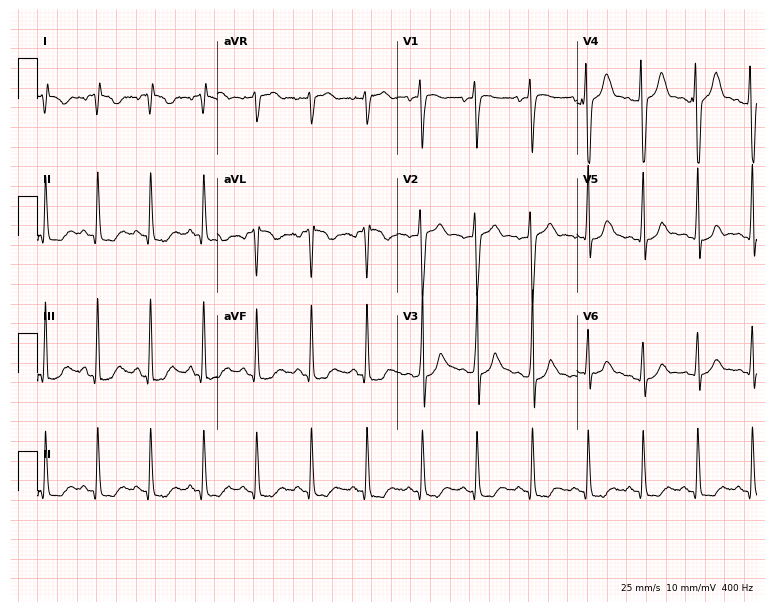
12-lead ECG from a woman, 32 years old. Screened for six findings — first-degree AV block, right bundle branch block, left bundle branch block, sinus bradycardia, atrial fibrillation, sinus tachycardia — none is recorded. Other findings, if any, are not listed.